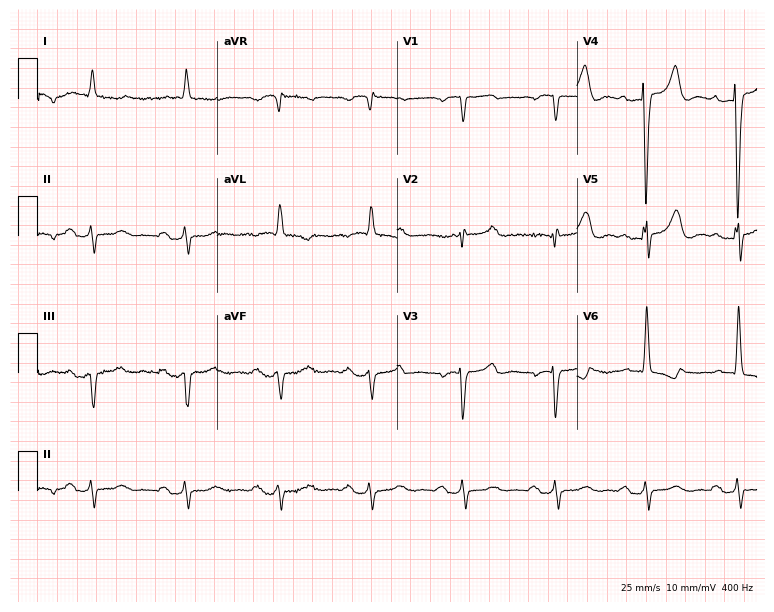
Electrocardiogram, a male patient, 69 years old. Of the six screened findings (first-degree AV block, right bundle branch block, left bundle branch block, sinus bradycardia, atrial fibrillation, sinus tachycardia), none is recorded. Findings outside these six are not listed.